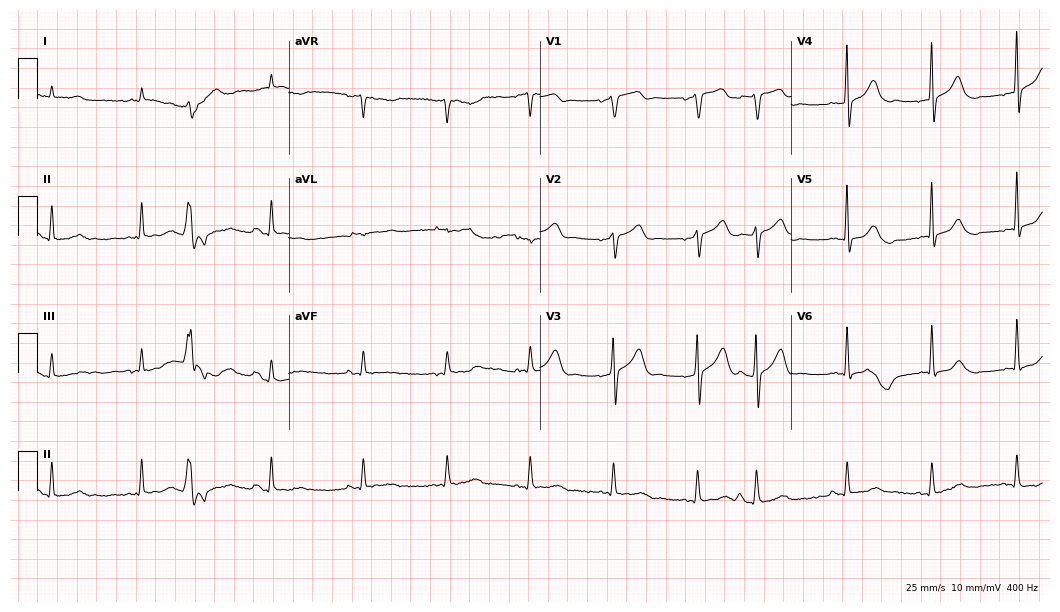
Electrocardiogram, a male, 67 years old. Of the six screened findings (first-degree AV block, right bundle branch block, left bundle branch block, sinus bradycardia, atrial fibrillation, sinus tachycardia), none is recorded.